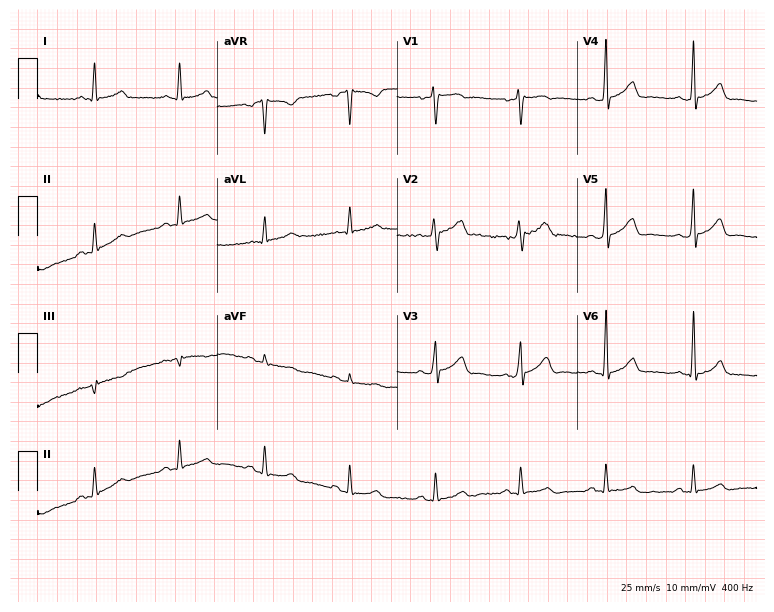
Standard 12-lead ECG recorded from a 47-year-old male. None of these six findings is recorded: first-degree AV block, right bundle branch block, left bundle branch block, sinus bradycardia, atrial fibrillation, sinus tachycardia. Other findings, if any, are not listed.